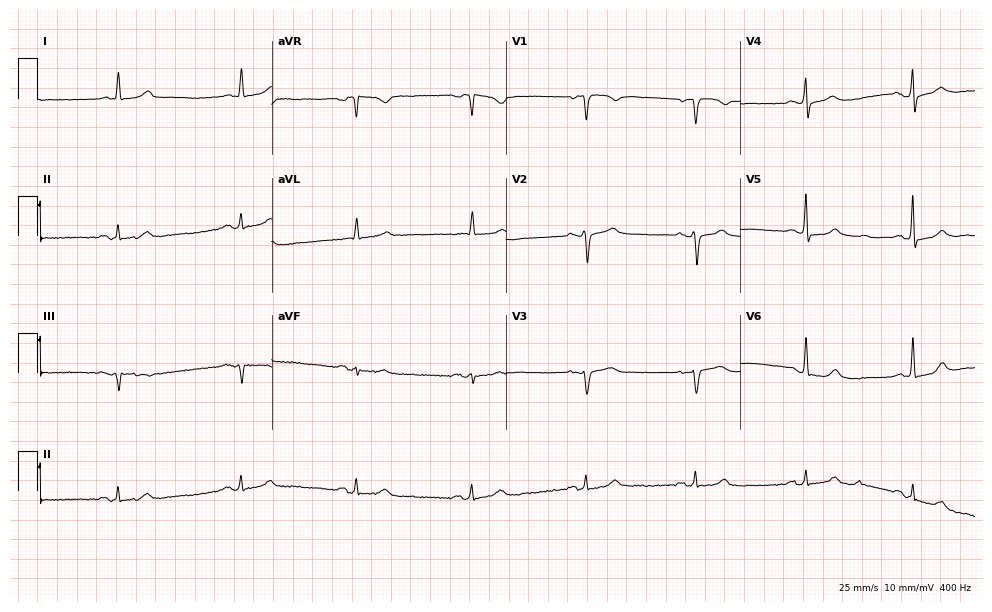
ECG (9.6-second recording at 400 Hz) — a 71-year-old female. Screened for six findings — first-degree AV block, right bundle branch block (RBBB), left bundle branch block (LBBB), sinus bradycardia, atrial fibrillation (AF), sinus tachycardia — none is recorded.